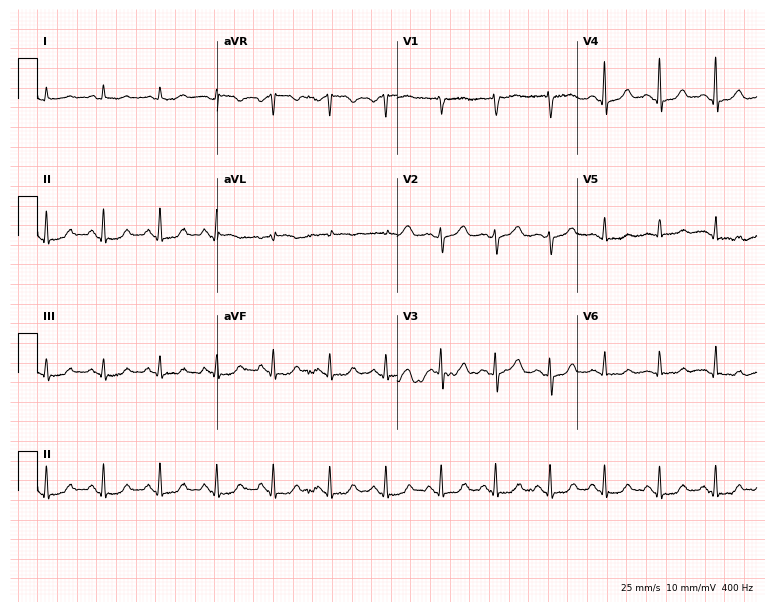
Resting 12-lead electrocardiogram. Patient: a 53-year-old female. The tracing shows sinus tachycardia (a sinus rate of 100 beats per minute or more).